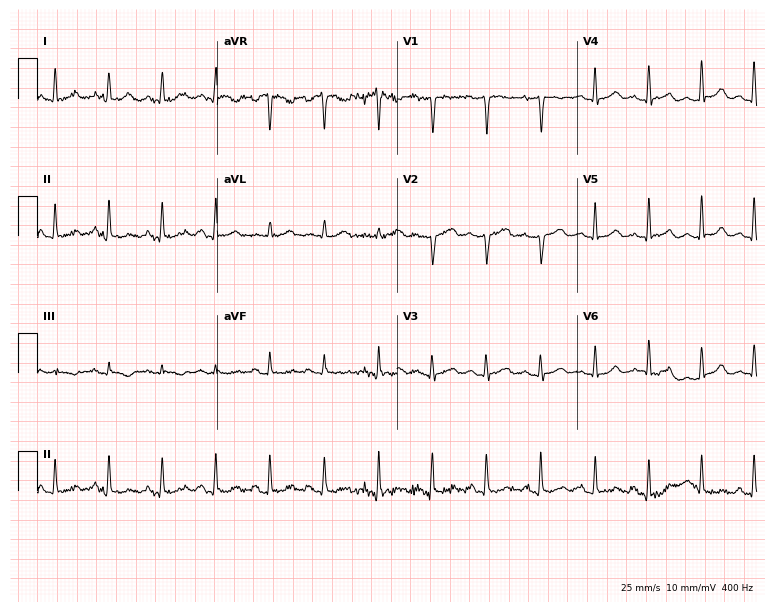
Electrocardiogram (7.3-second recording at 400 Hz), a female, 39 years old. Interpretation includes sinus tachycardia (a sinus rate of 100 beats per minute or more).